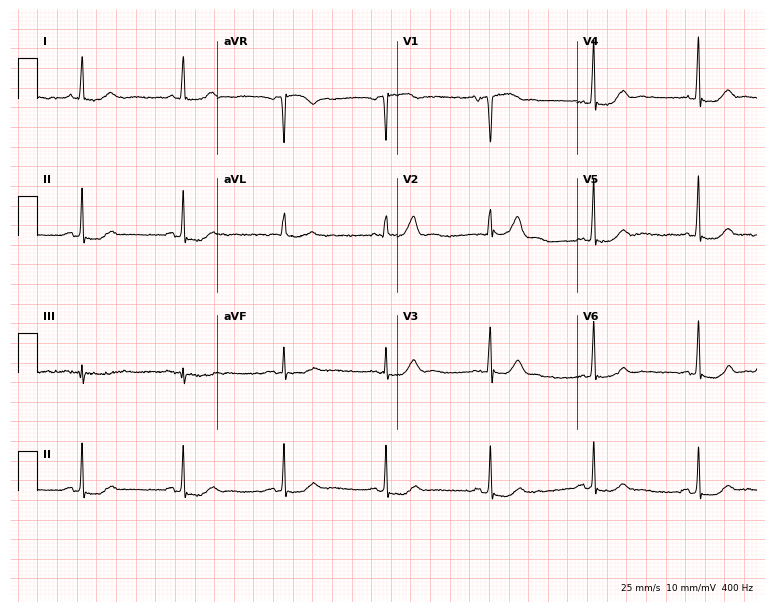
12-lead ECG from a male, 72 years old. No first-degree AV block, right bundle branch block (RBBB), left bundle branch block (LBBB), sinus bradycardia, atrial fibrillation (AF) or sinus tachycardia recorded for this tracing. Only these six findings were labelled.